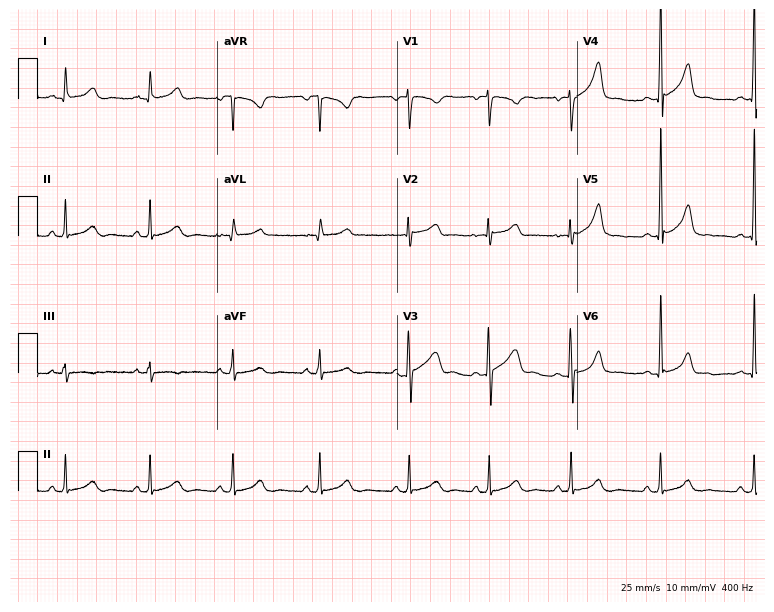
12-lead ECG (7.3-second recording at 400 Hz) from a 24-year-old woman. Labelled as a normal ECG.